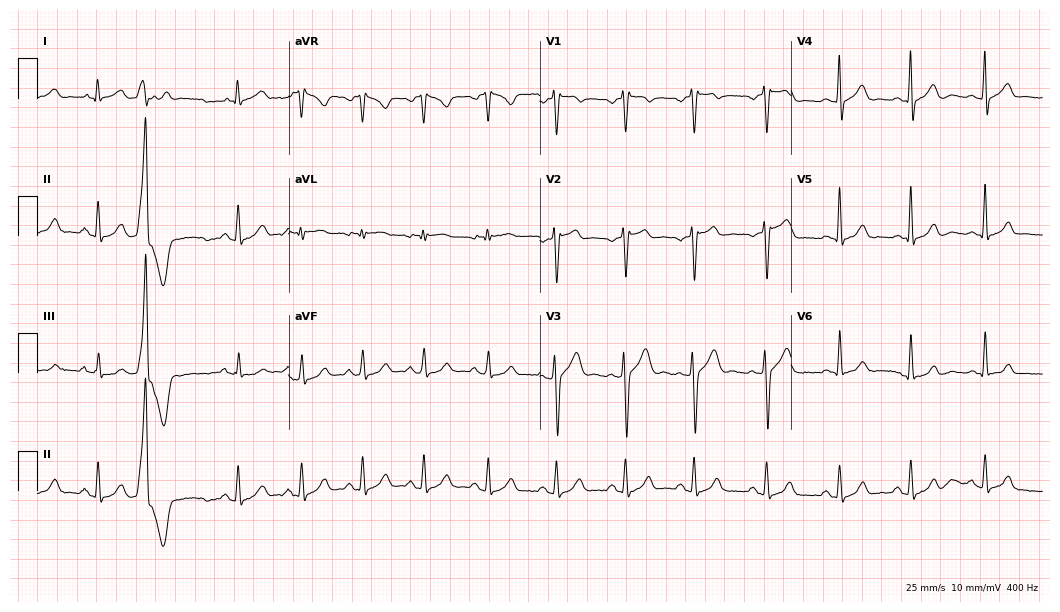
Standard 12-lead ECG recorded from a man, 25 years old. None of these six findings is recorded: first-degree AV block, right bundle branch block (RBBB), left bundle branch block (LBBB), sinus bradycardia, atrial fibrillation (AF), sinus tachycardia.